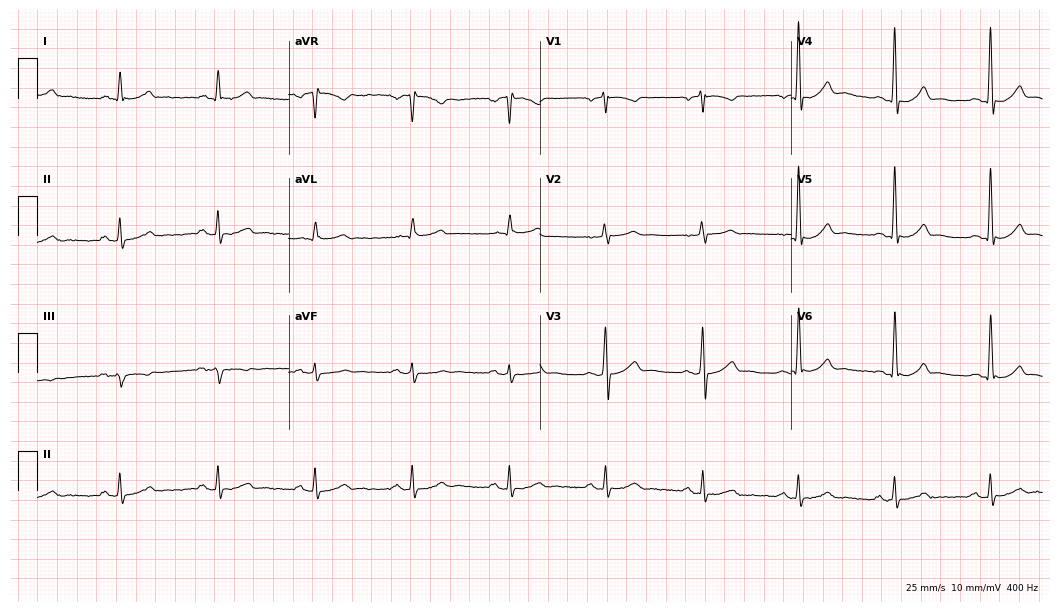
12-lead ECG from a 56-year-old female (10.2-second recording at 400 Hz). Recorded interpretation: within normal limits.